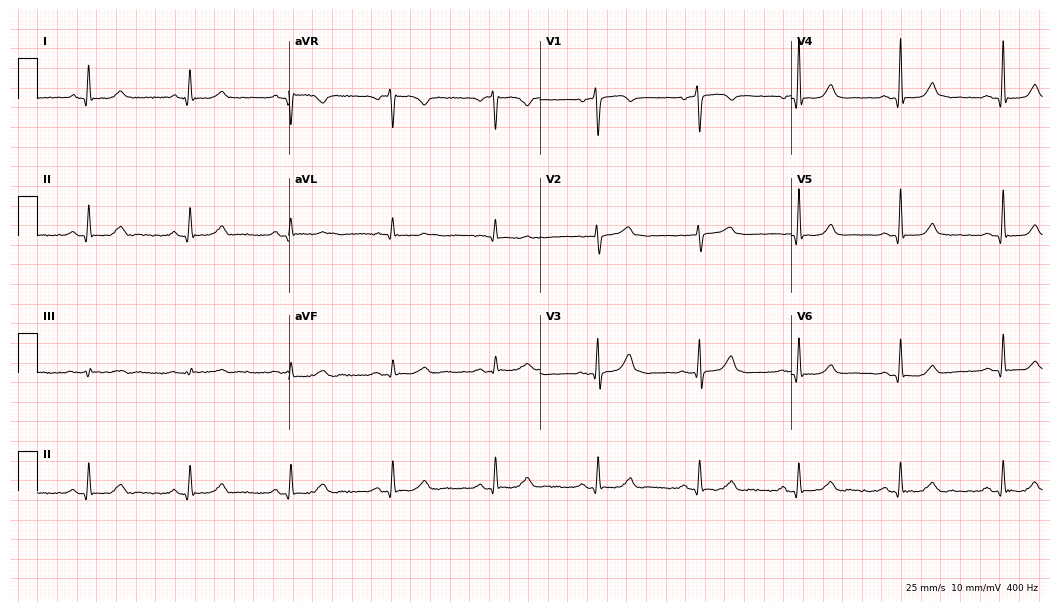
Resting 12-lead electrocardiogram. Patient: a 53-year-old female. Read as a normal ECG.